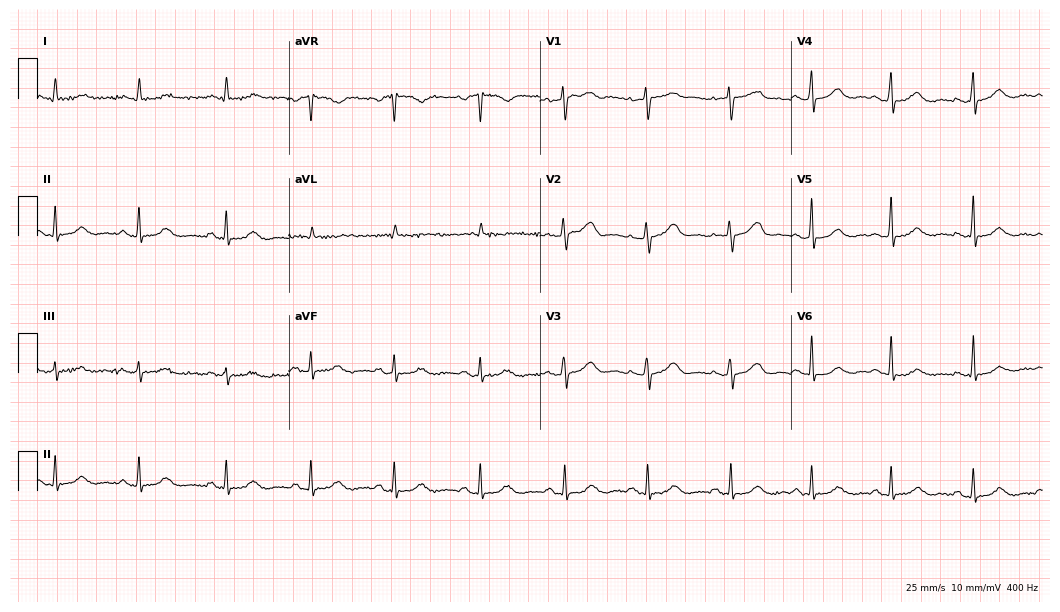
Standard 12-lead ECG recorded from a female, 67 years old (10.2-second recording at 400 Hz). Read as a normal ECG.